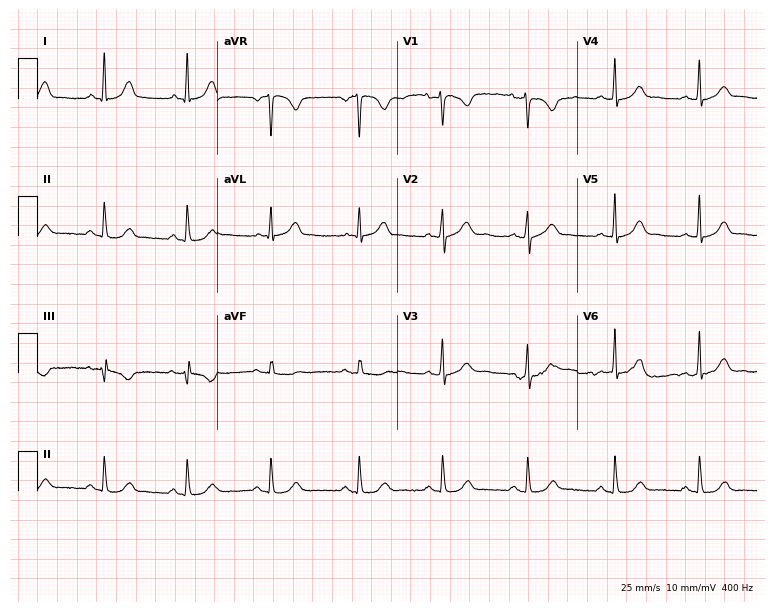
Electrocardiogram (7.3-second recording at 400 Hz), a 26-year-old woman. Overall reading on record: normal ECG.